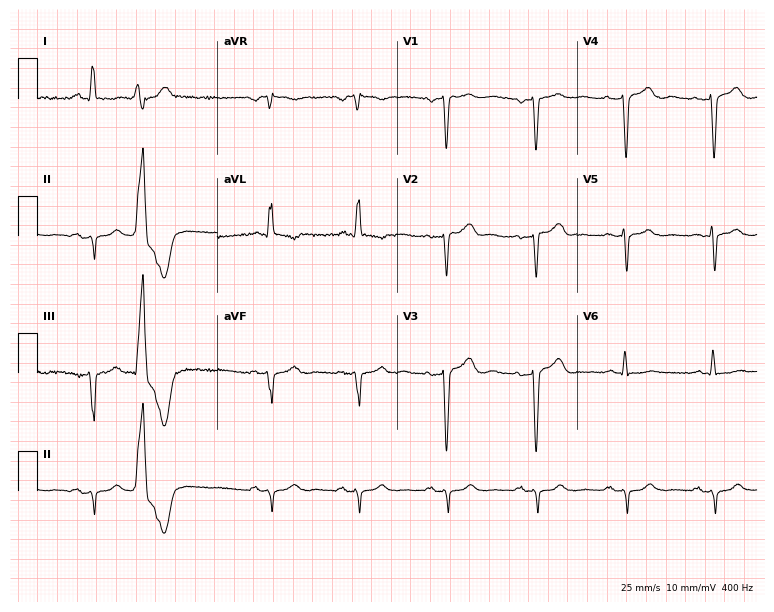
Standard 12-lead ECG recorded from a female, 73 years old. None of these six findings is recorded: first-degree AV block, right bundle branch block (RBBB), left bundle branch block (LBBB), sinus bradycardia, atrial fibrillation (AF), sinus tachycardia. Only these six findings were labelled.